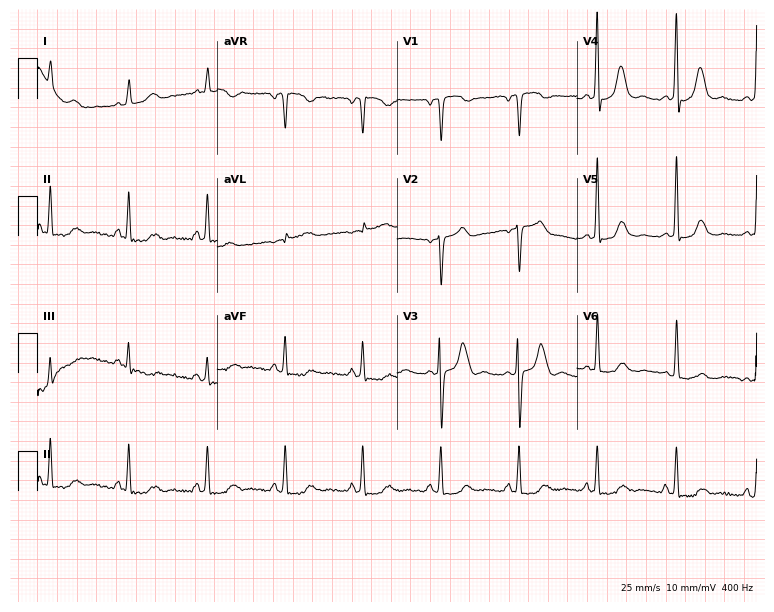
12-lead ECG (7.3-second recording at 400 Hz) from a woman, 58 years old. Screened for six findings — first-degree AV block, right bundle branch block, left bundle branch block, sinus bradycardia, atrial fibrillation, sinus tachycardia — none is recorded. Findings outside these six are not listed.